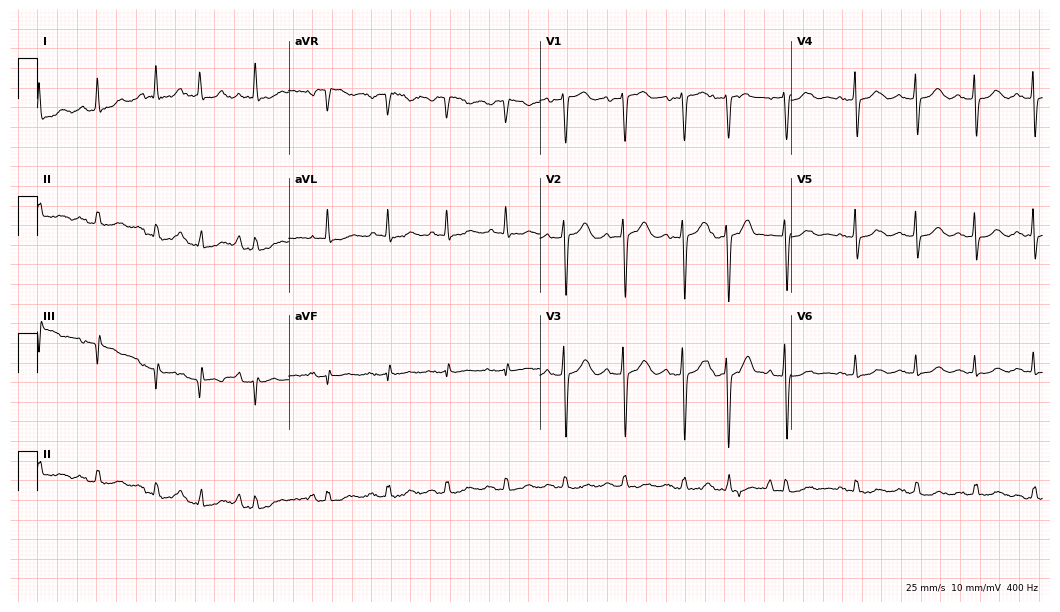
12-lead ECG from a woman, 84 years old (10.2-second recording at 400 Hz). Shows sinus tachycardia (a sinus rate of 100 beats per minute or more).